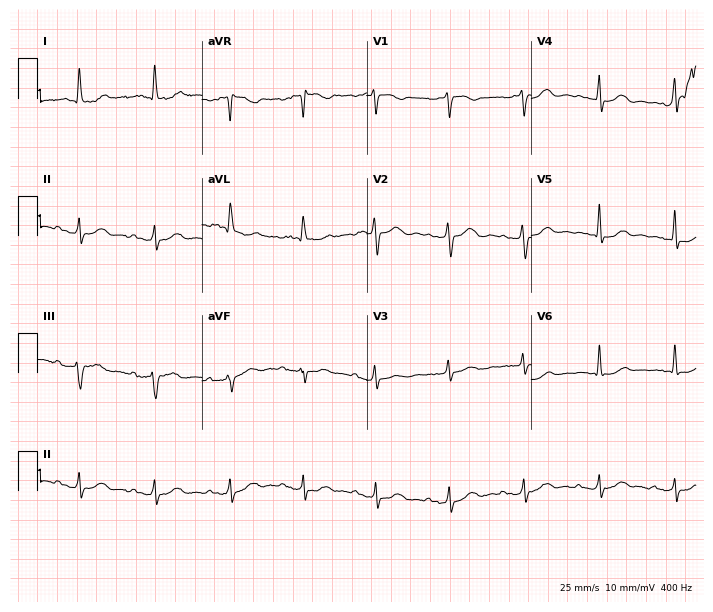
Electrocardiogram, a female, 85 years old. Of the six screened findings (first-degree AV block, right bundle branch block (RBBB), left bundle branch block (LBBB), sinus bradycardia, atrial fibrillation (AF), sinus tachycardia), none is recorded. Findings outside these six are not listed.